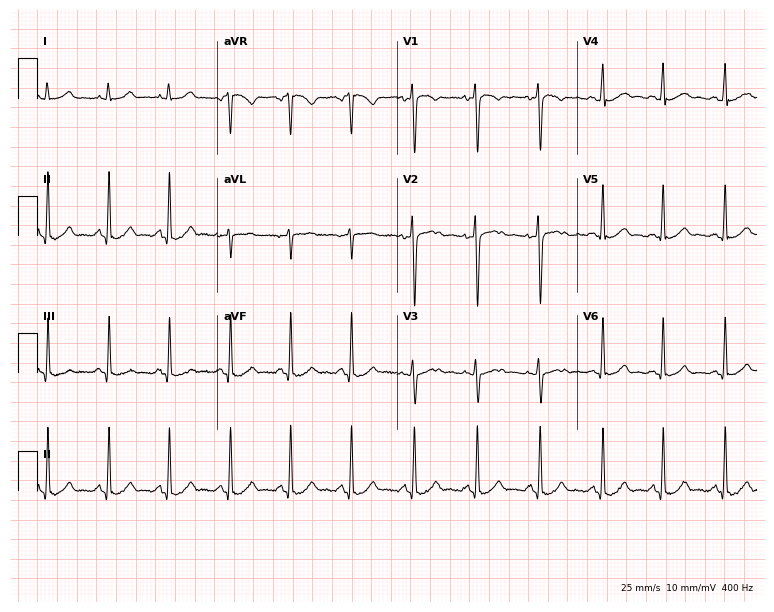
ECG (7.3-second recording at 400 Hz) — a female patient, 22 years old. Labelled as a normal ECG.